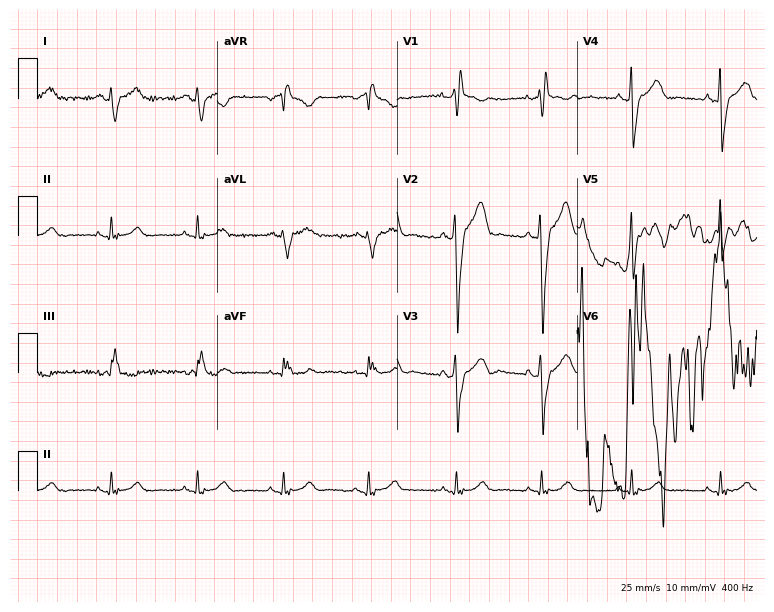
Resting 12-lead electrocardiogram. Patient: a 47-year-old male. The tracing shows right bundle branch block.